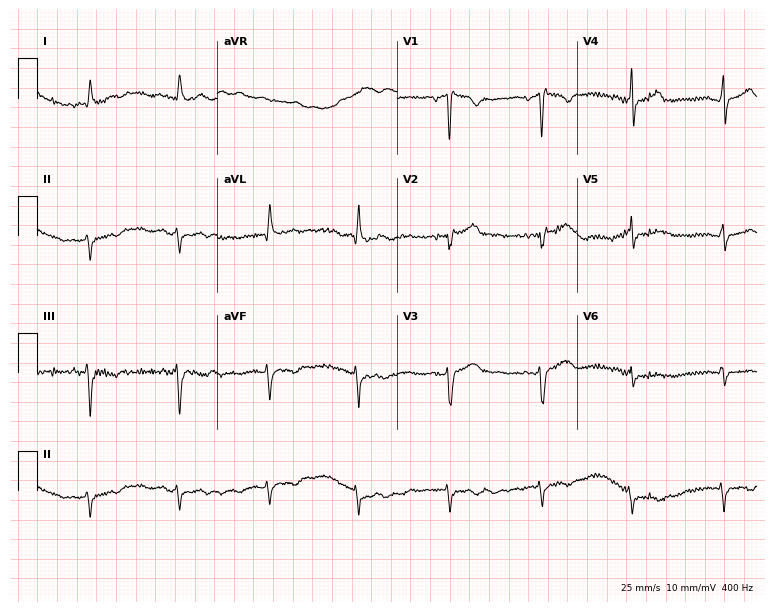
Electrocardiogram (7.3-second recording at 400 Hz), a woman, 52 years old. Of the six screened findings (first-degree AV block, right bundle branch block, left bundle branch block, sinus bradycardia, atrial fibrillation, sinus tachycardia), none is recorded.